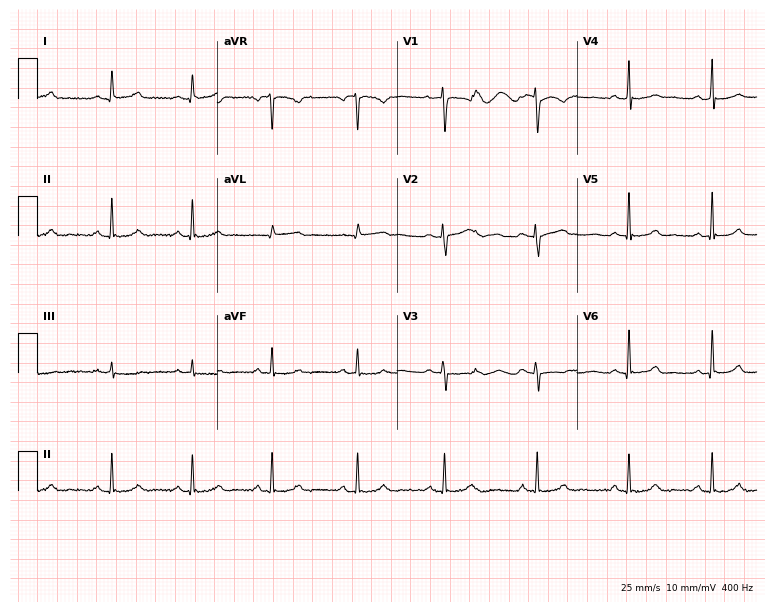
Electrocardiogram (7.3-second recording at 400 Hz), a 25-year-old woman. Of the six screened findings (first-degree AV block, right bundle branch block (RBBB), left bundle branch block (LBBB), sinus bradycardia, atrial fibrillation (AF), sinus tachycardia), none is recorded.